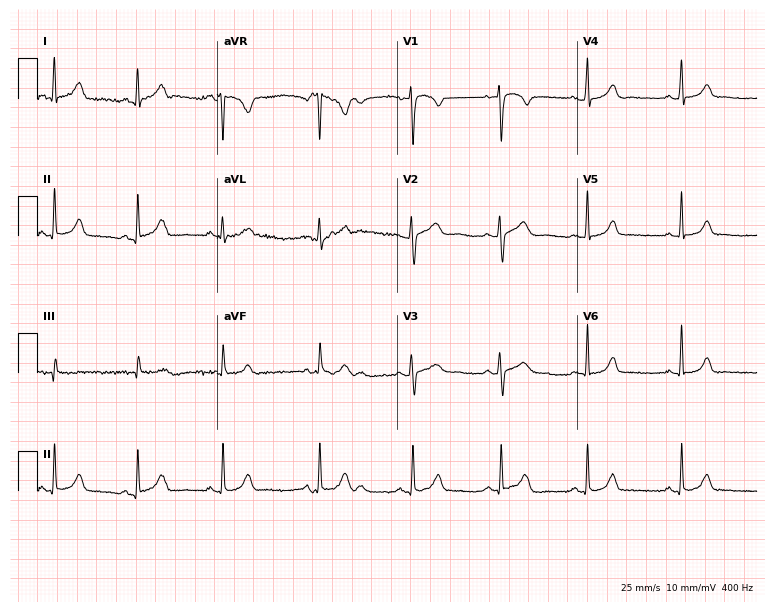
Electrocardiogram, a 23-year-old female. Overall reading on record: normal ECG.